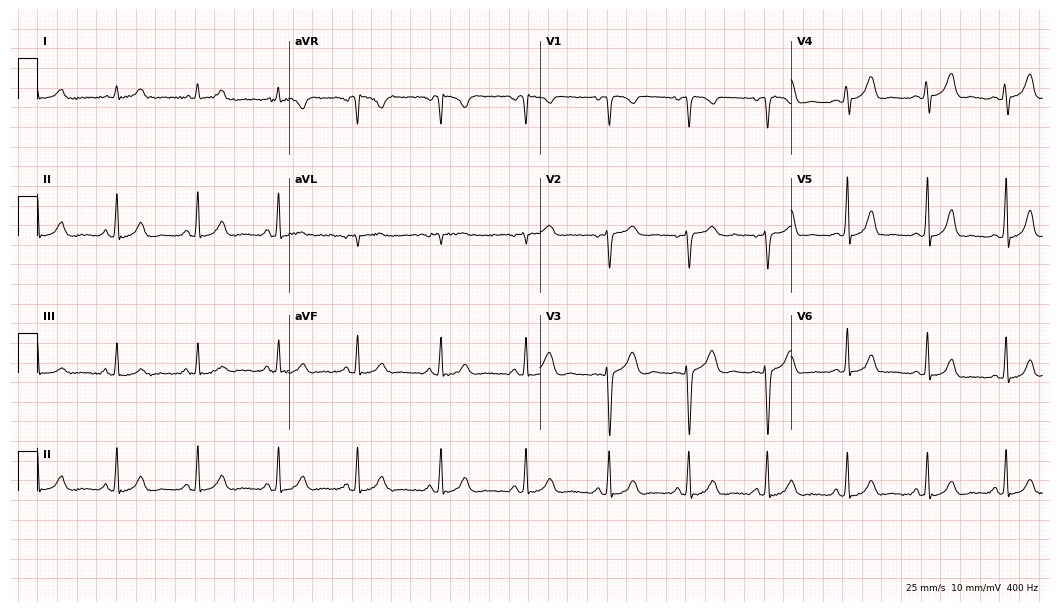
12-lead ECG from a female patient, 22 years old (10.2-second recording at 400 Hz). Recorded interpretation: within normal limits.